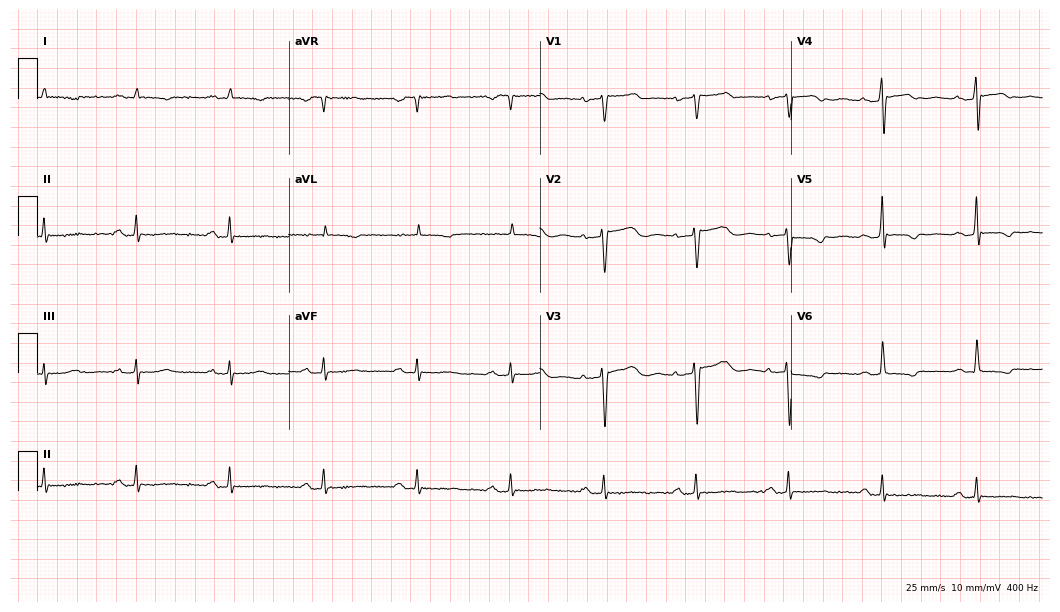
12-lead ECG (10.2-second recording at 400 Hz) from a 58-year-old woman. Screened for six findings — first-degree AV block, right bundle branch block, left bundle branch block, sinus bradycardia, atrial fibrillation, sinus tachycardia — none is recorded.